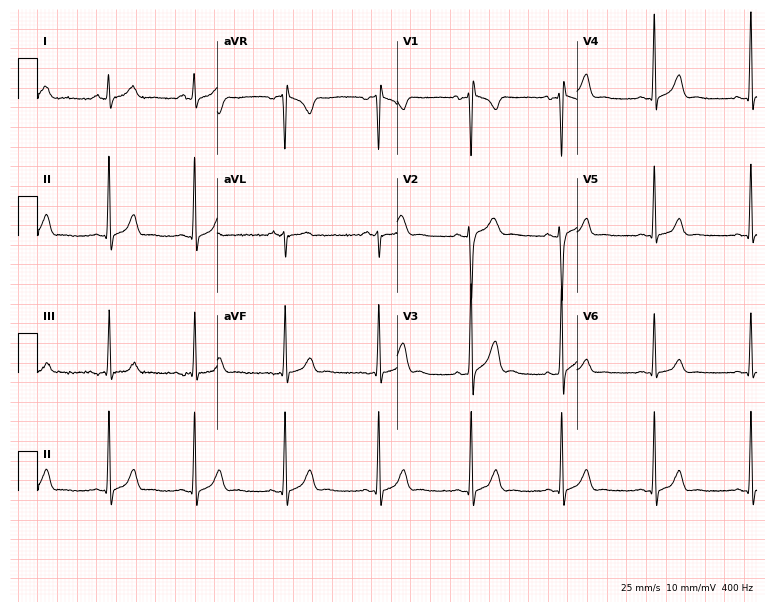
Standard 12-lead ECG recorded from a 25-year-old male (7.3-second recording at 400 Hz). Read as a normal ECG.